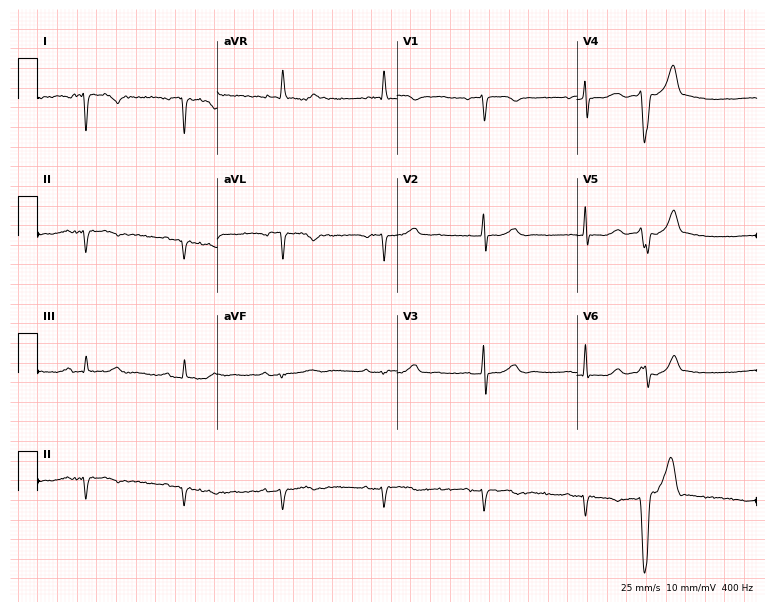
Resting 12-lead electrocardiogram. Patient: a woman, 71 years old. None of these six findings is recorded: first-degree AV block, right bundle branch block, left bundle branch block, sinus bradycardia, atrial fibrillation, sinus tachycardia. Other findings, if any, are not listed.